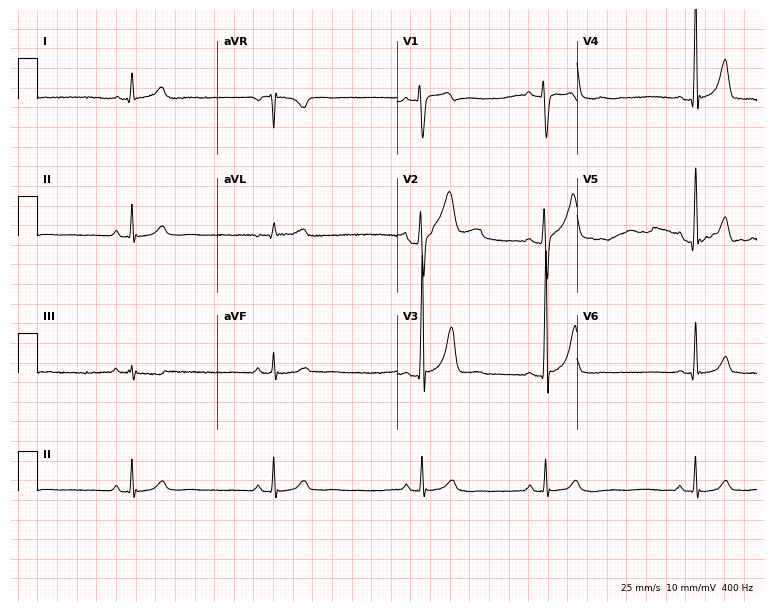
Resting 12-lead electrocardiogram. Patient: a 35-year-old male. The tracing shows sinus bradycardia (a sinus rate of 50 beats per minute or less).